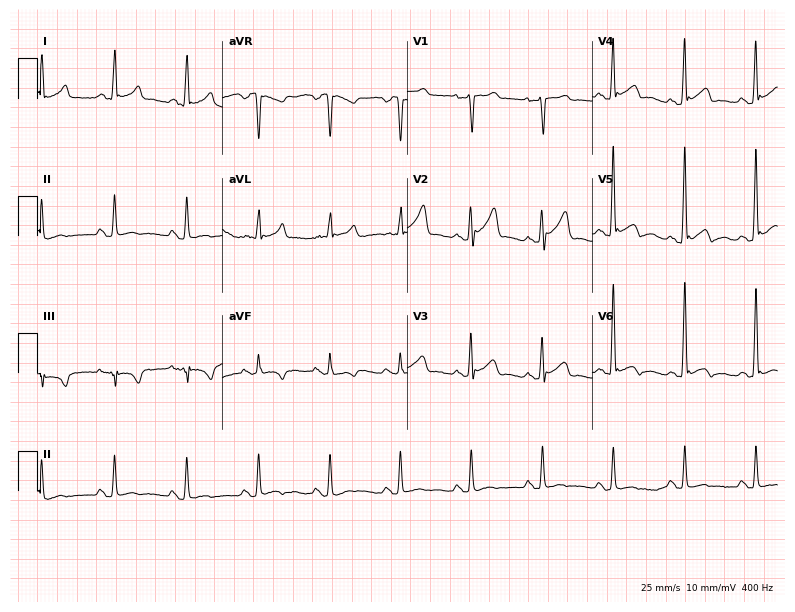
Standard 12-lead ECG recorded from a man, 30 years old. None of these six findings is recorded: first-degree AV block, right bundle branch block, left bundle branch block, sinus bradycardia, atrial fibrillation, sinus tachycardia. Findings outside these six are not listed.